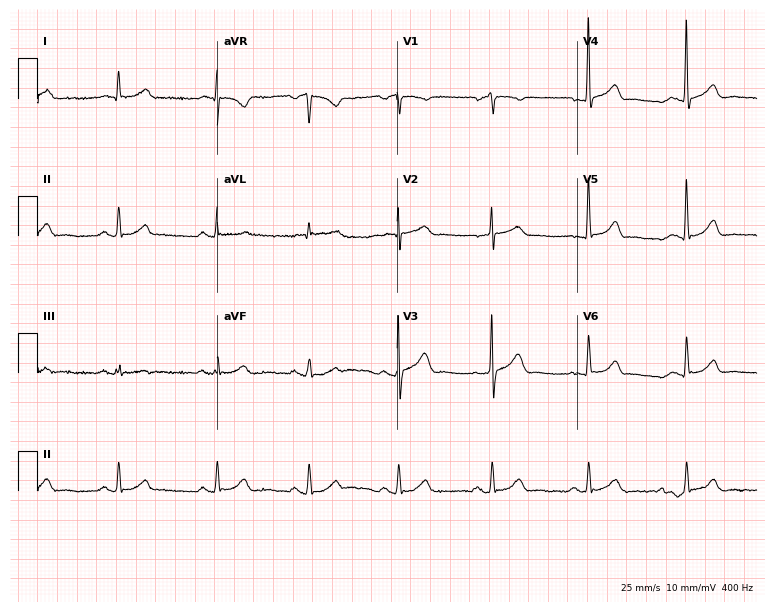
ECG (7.3-second recording at 400 Hz) — a 62-year-old male patient. Labelled as a normal ECG.